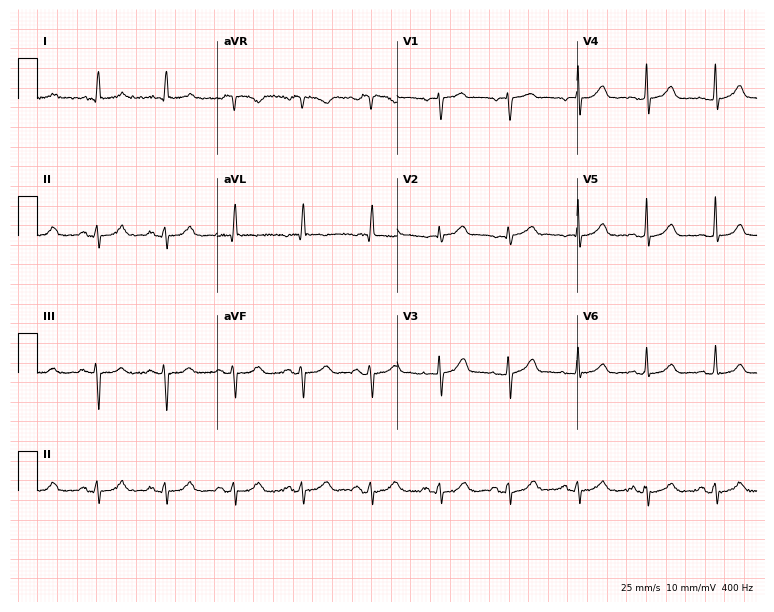
Resting 12-lead electrocardiogram. Patient: a male, 69 years old. None of these six findings is recorded: first-degree AV block, right bundle branch block (RBBB), left bundle branch block (LBBB), sinus bradycardia, atrial fibrillation (AF), sinus tachycardia. Findings outside these six are not listed.